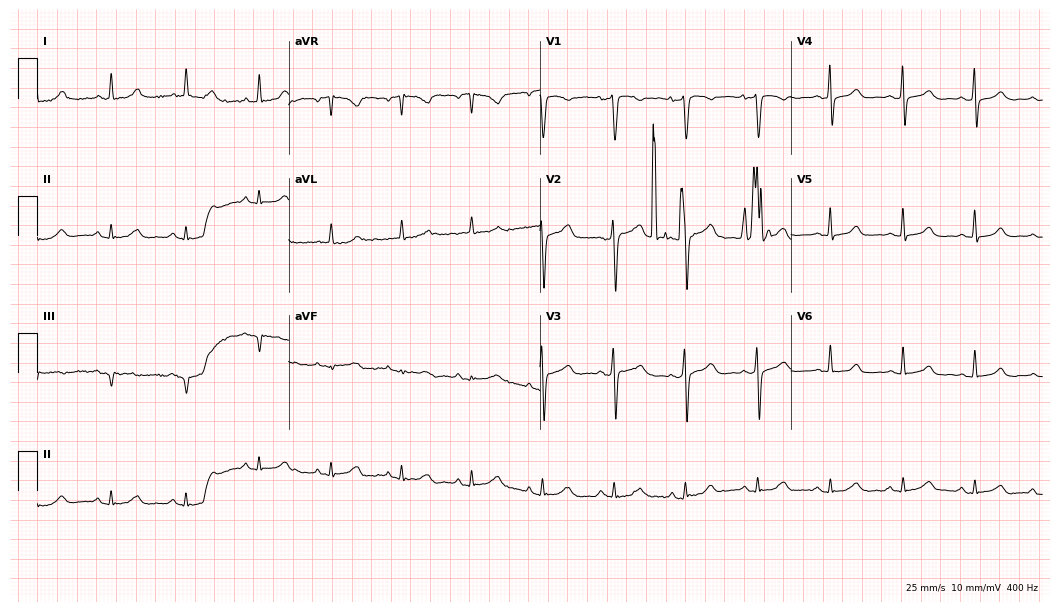
12-lead ECG from a female patient, 52 years old. Labelled as a normal ECG.